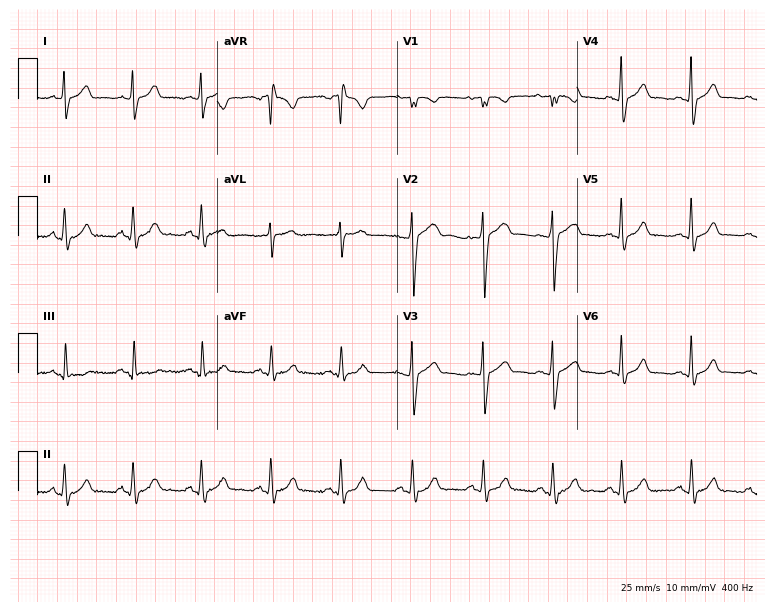
ECG (7.3-second recording at 400 Hz) — a 30-year-old male. Screened for six findings — first-degree AV block, right bundle branch block, left bundle branch block, sinus bradycardia, atrial fibrillation, sinus tachycardia — none is recorded. Other findings, if any, are not listed.